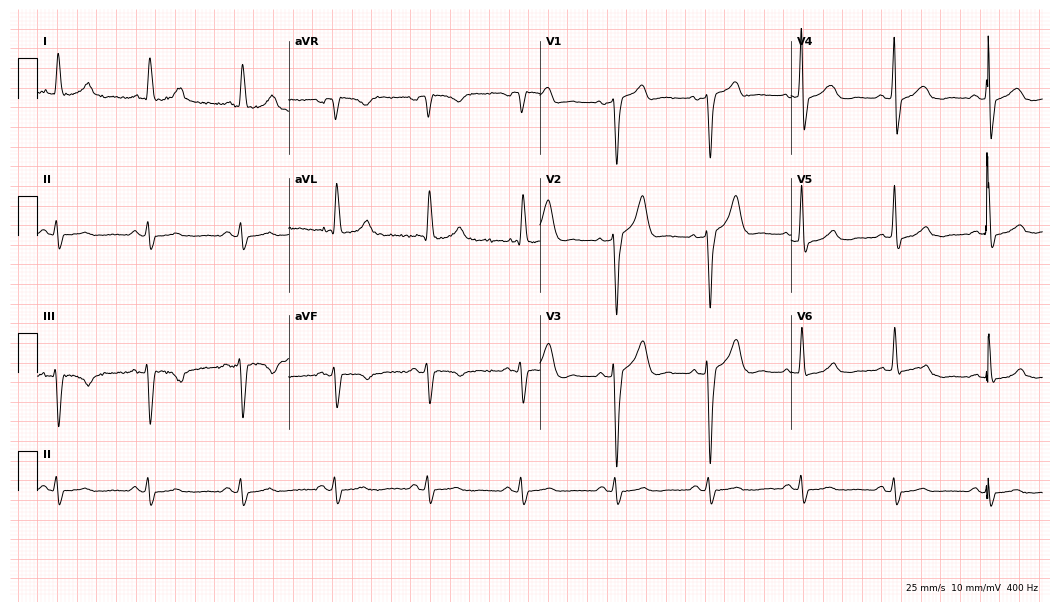
12-lead ECG from a 76-year-old man. Screened for six findings — first-degree AV block, right bundle branch block, left bundle branch block, sinus bradycardia, atrial fibrillation, sinus tachycardia — none is recorded.